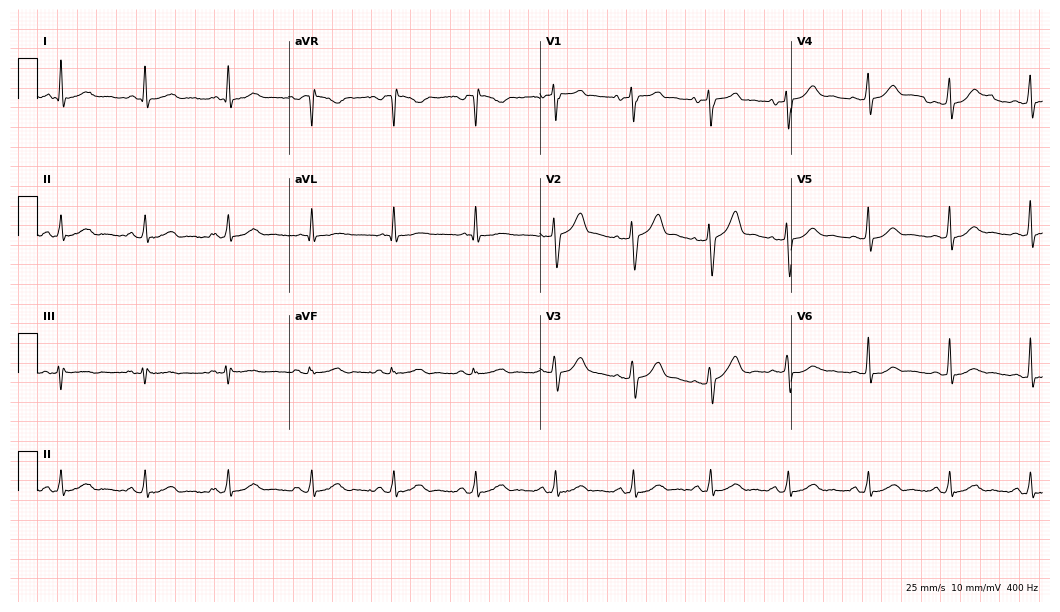
12-lead ECG (10.2-second recording at 400 Hz) from a male patient, 42 years old. Screened for six findings — first-degree AV block, right bundle branch block (RBBB), left bundle branch block (LBBB), sinus bradycardia, atrial fibrillation (AF), sinus tachycardia — none is recorded.